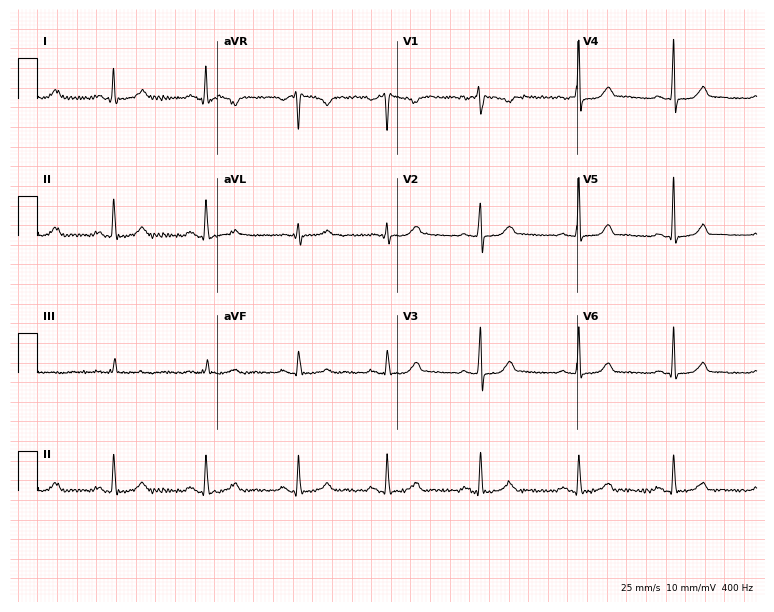
12-lead ECG from a 40-year-old female patient (7.3-second recording at 400 Hz). Recorded interpretation: within normal limits.